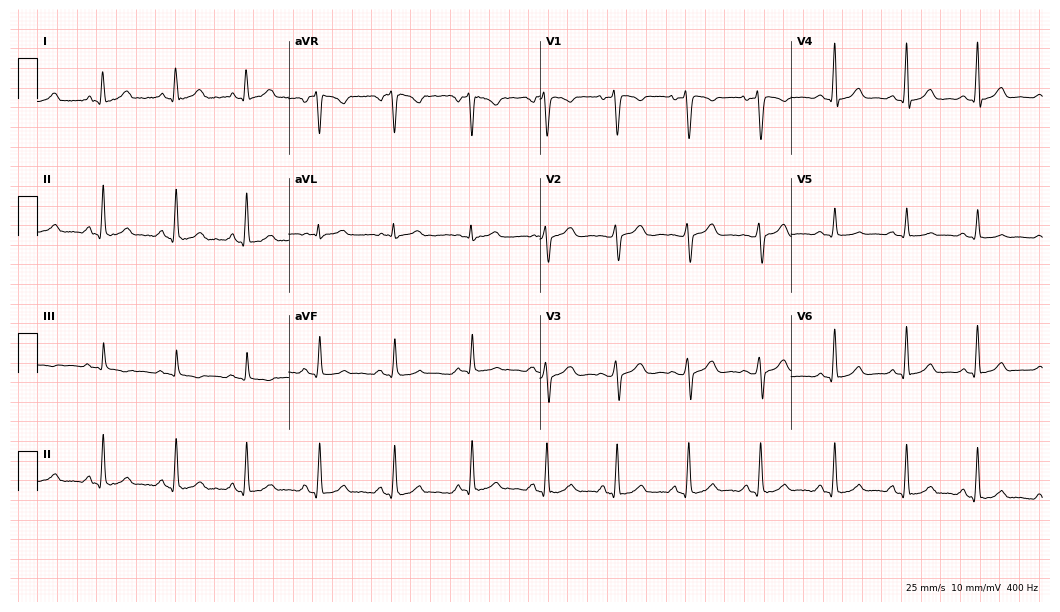
Resting 12-lead electrocardiogram. Patient: a 32-year-old female. None of these six findings is recorded: first-degree AV block, right bundle branch block, left bundle branch block, sinus bradycardia, atrial fibrillation, sinus tachycardia. Other findings, if any, are not listed.